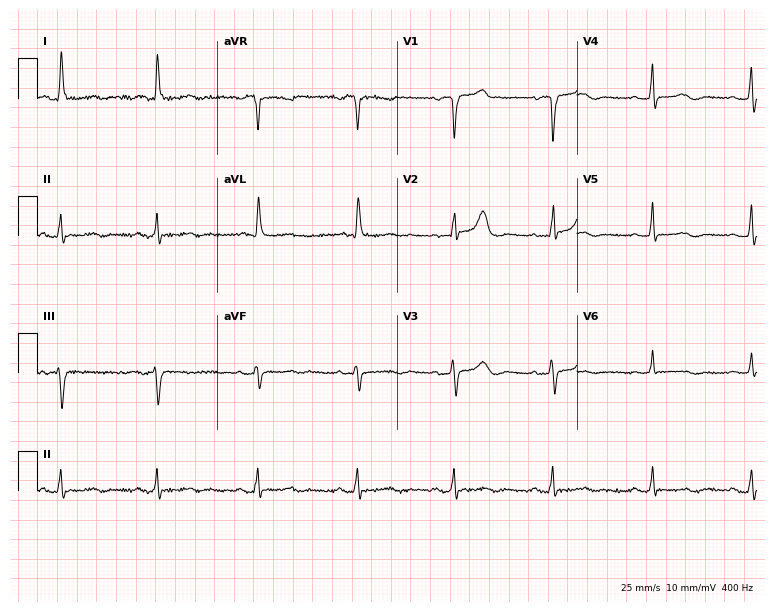
Electrocardiogram, an 85-year-old female patient. Of the six screened findings (first-degree AV block, right bundle branch block, left bundle branch block, sinus bradycardia, atrial fibrillation, sinus tachycardia), none is recorded.